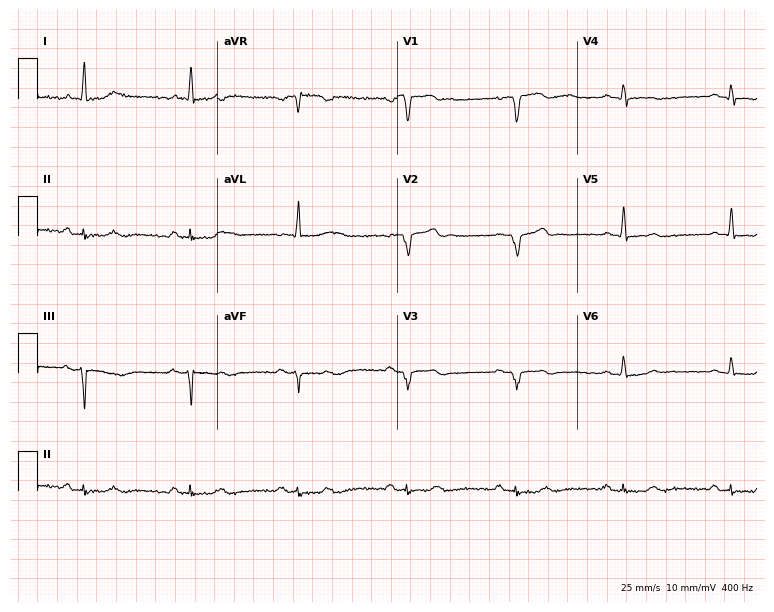
12-lead ECG from a male, 58 years old. Screened for six findings — first-degree AV block, right bundle branch block, left bundle branch block, sinus bradycardia, atrial fibrillation, sinus tachycardia — none is recorded. Findings outside these six are not listed.